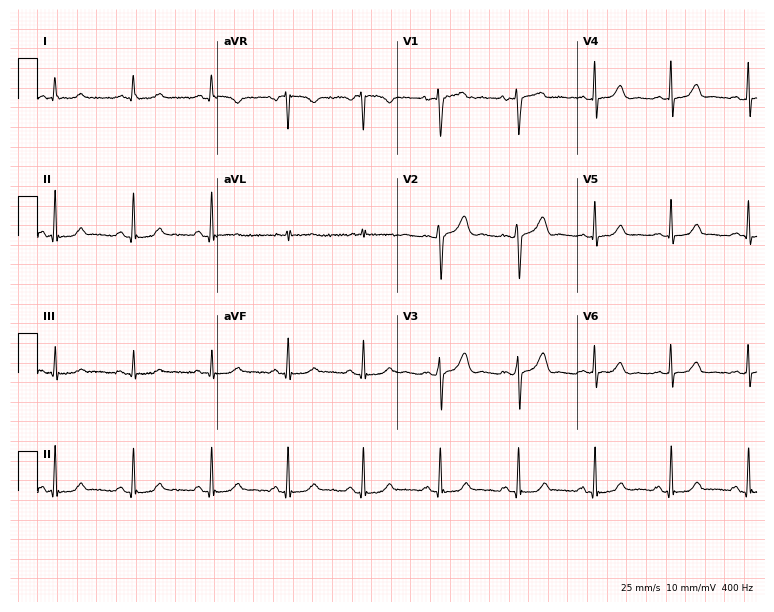
12-lead ECG (7.3-second recording at 400 Hz) from a 32-year-old female. Labelled as a normal ECG.